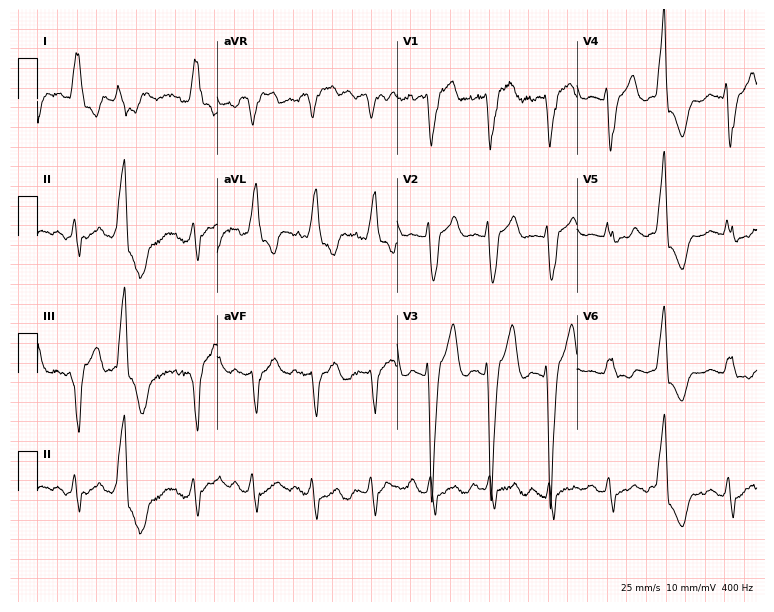
12-lead ECG (7.3-second recording at 400 Hz) from a woman, 84 years old. Findings include left bundle branch block.